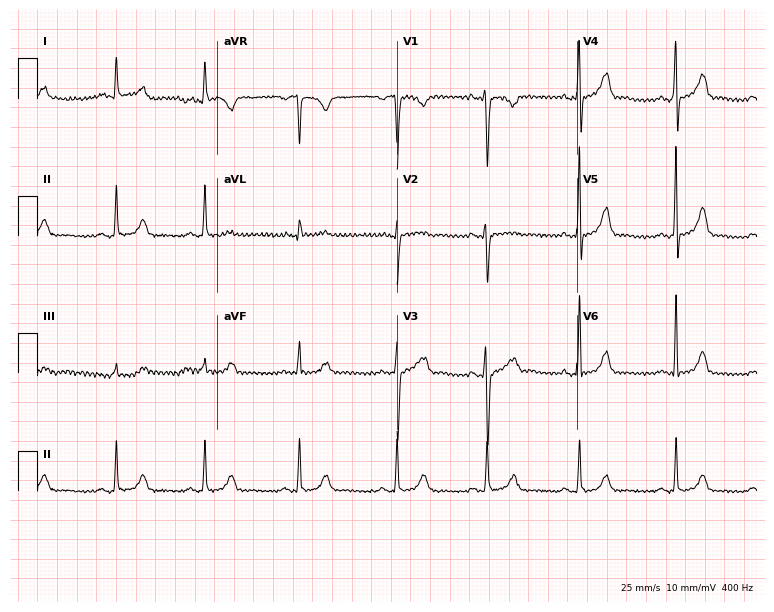
12-lead ECG from a 34-year-old female patient (7.3-second recording at 400 Hz). No first-degree AV block, right bundle branch block (RBBB), left bundle branch block (LBBB), sinus bradycardia, atrial fibrillation (AF) or sinus tachycardia recorded for this tracing.